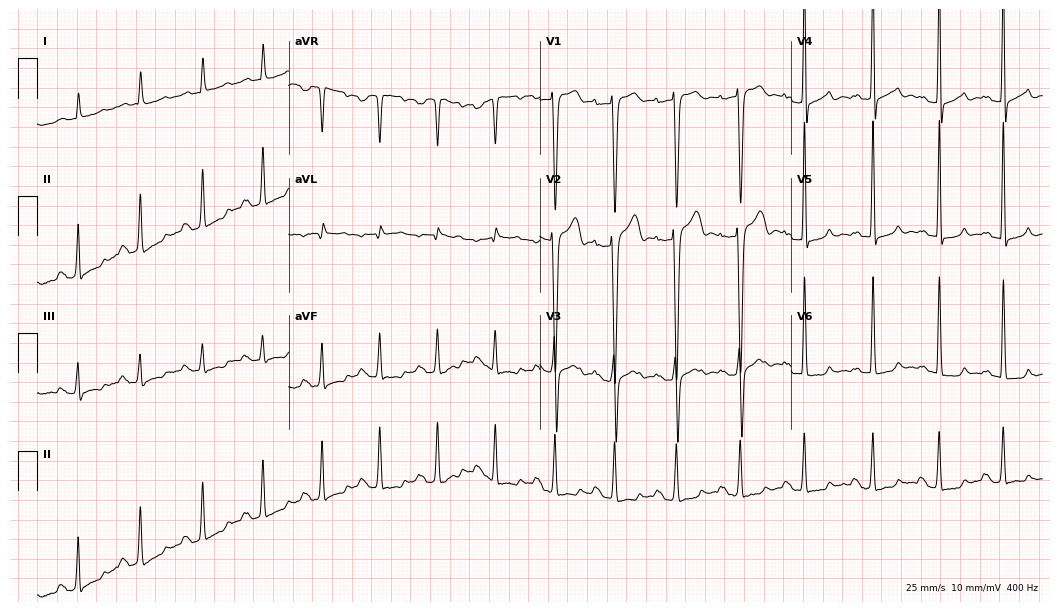
12-lead ECG (10.2-second recording at 400 Hz) from a 47-year-old male. Screened for six findings — first-degree AV block, right bundle branch block, left bundle branch block, sinus bradycardia, atrial fibrillation, sinus tachycardia — none is recorded. Only these six findings were labelled.